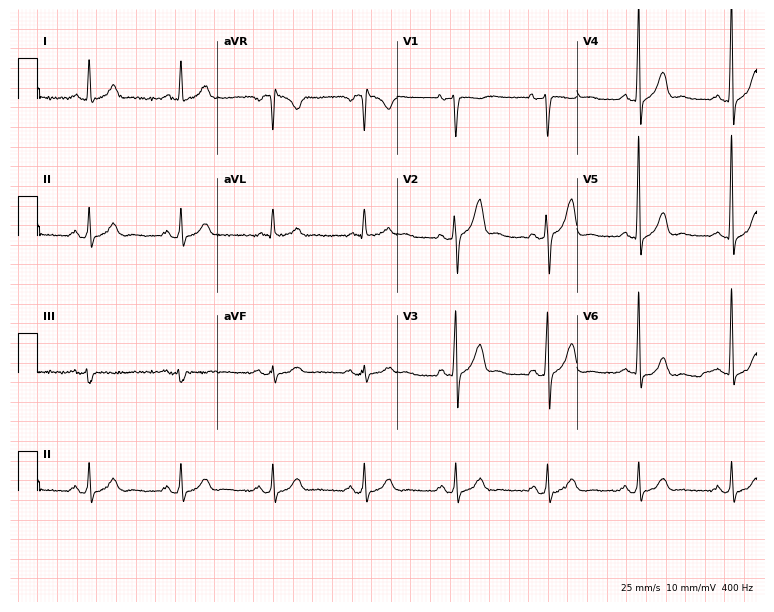
ECG — a 62-year-old male patient. Screened for six findings — first-degree AV block, right bundle branch block, left bundle branch block, sinus bradycardia, atrial fibrillation, sinus tachycardia — none is recorded.